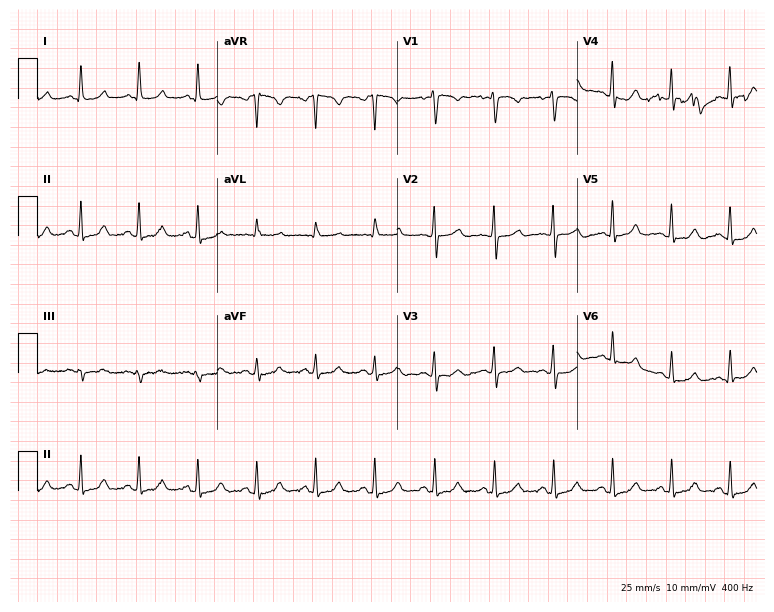
12-lead ECG from a female, 46 years old. Labelled as a normal ECG.